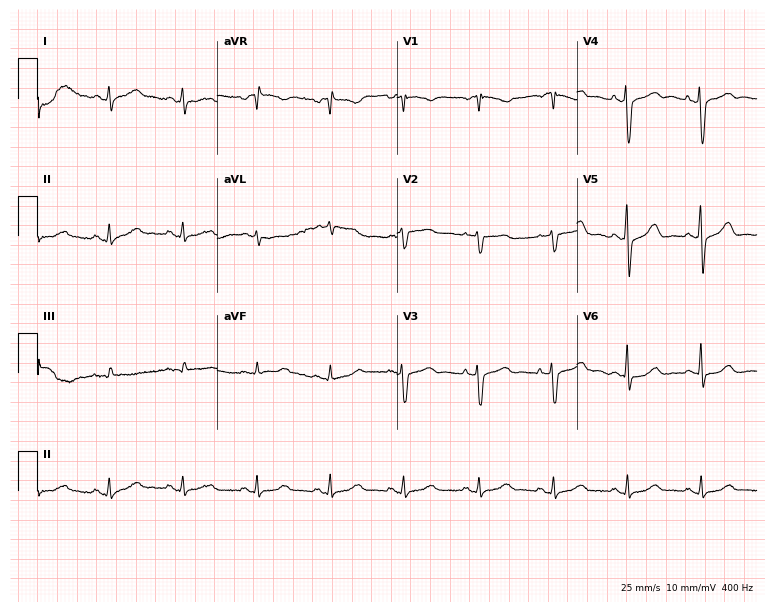
12-lead ECG (7.3-second recording at 400 Hz) from a 70-year-old female. Labelled as a normal ECG.